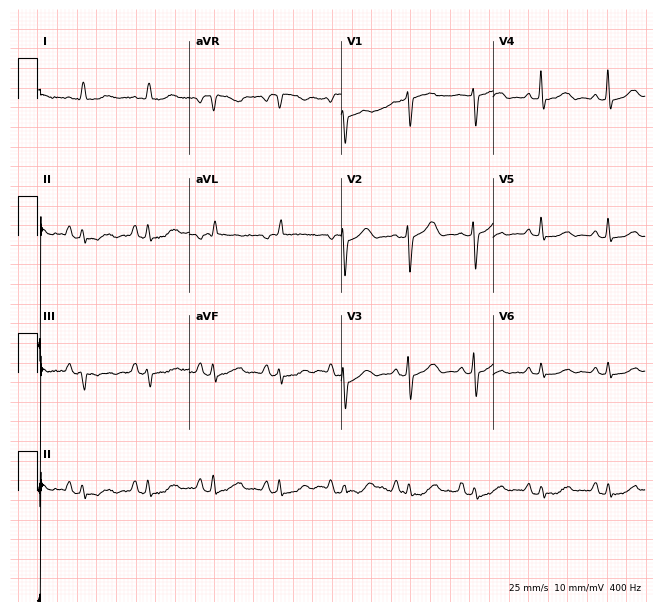
12-lead ECG from a 72-year-old female patient. Screened for six findings — first-degree AV block, right bundle branch block, left bundle branch block, sinus bradycardia, atrial fibrillation, sinus tachycardia — none is recorded.